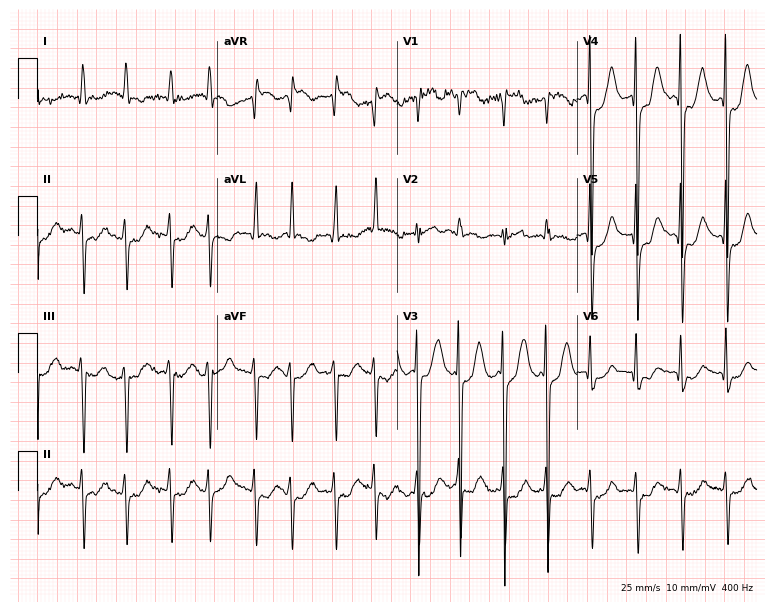
Resting 12-lead electrocardiogram (7.3-second recording at 400 Hz). Patient: a male, 20 years old. None of these six findings is recorded: first-degree AV block, right bundle branch block, left bundle branch block, sinus bradycardia, atrial fibrillation, sinus tachycardia.